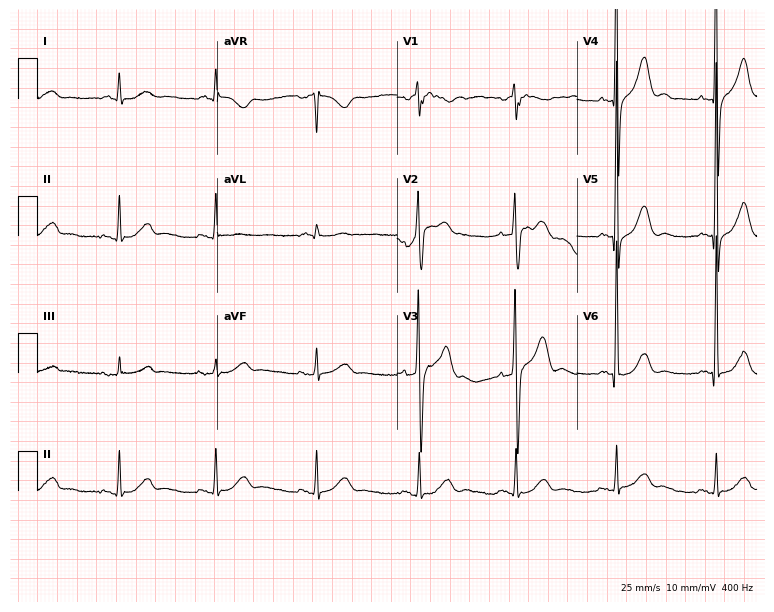
Electrocardiogram (7.3-second recording at 400 Hz), a 73-year-old man. Of the six screened findings (first-degree AV block, right bundle branch block (RBBB), left bundle branch block (LBBB), sinus bradycardia, atrial fibrillation (AF), sinus tachycardia), none is recorded.